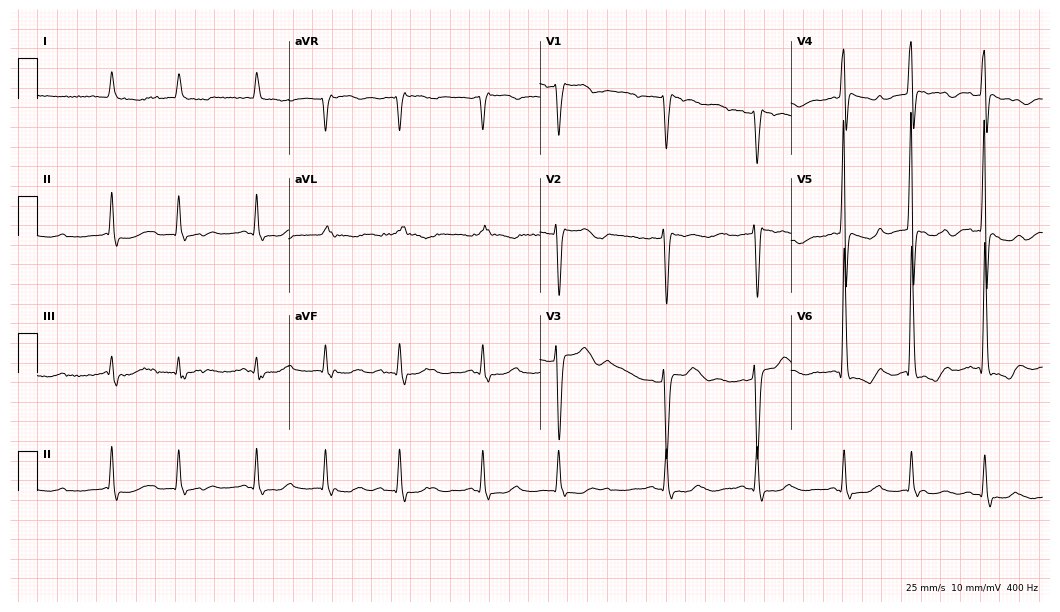
Electrocardiogram (10.2-second recording at 400 Hz), a female, 81 years old. Of the six screened findings (first-degree AV block, right bundle branch block, left bundle branch block, sinus bradycardia, atrial fibrillation, sinus tachycardia), none is recorded. Findings outside these six are not listed.